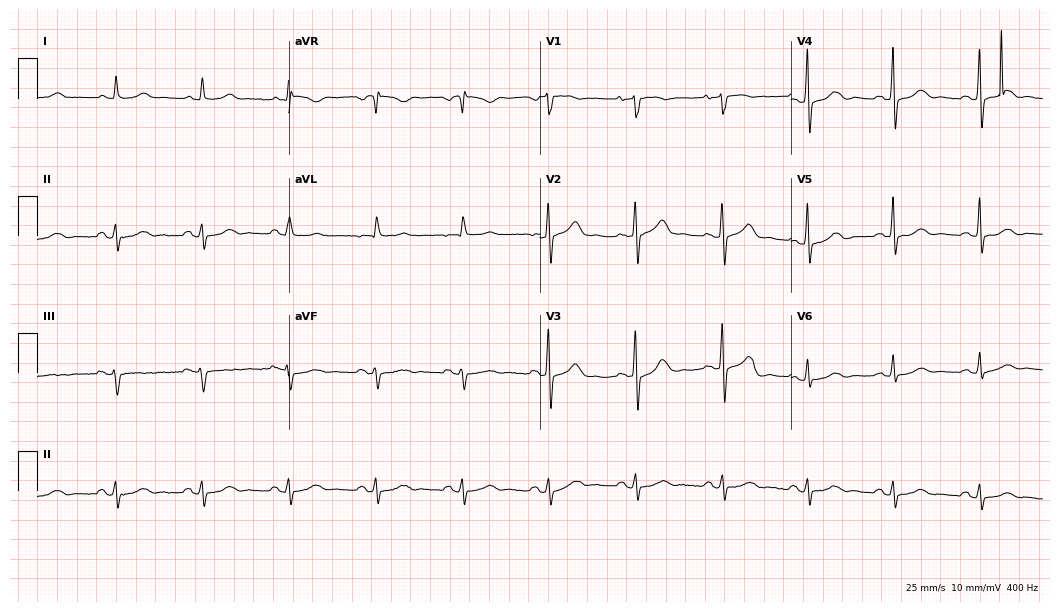
Resting 12-lead electrocardiogram (10.2-second recording at 400 Hz). Patient: a female, 79 years old. Read as a normal ECG.